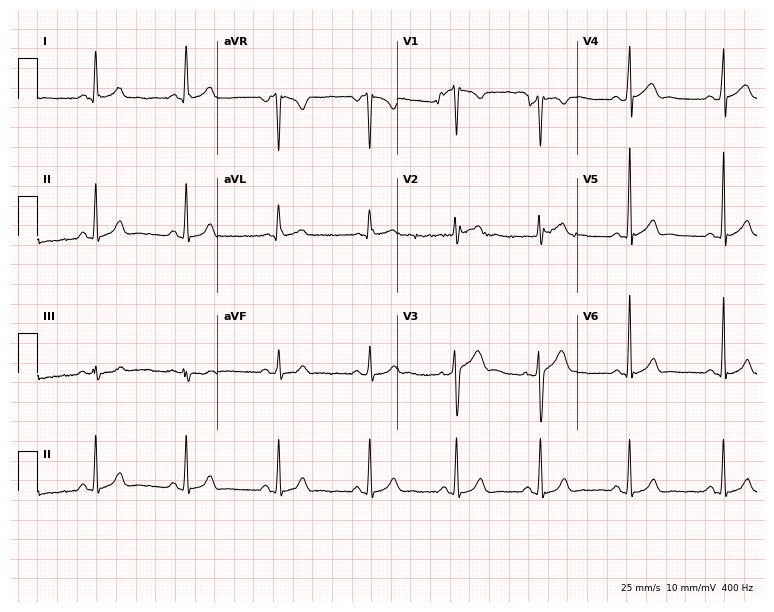
Standard 12-lead ECG recorded from a man, 26 years old (7.3-second recording at 400 Hz). Read as a normal ECG.